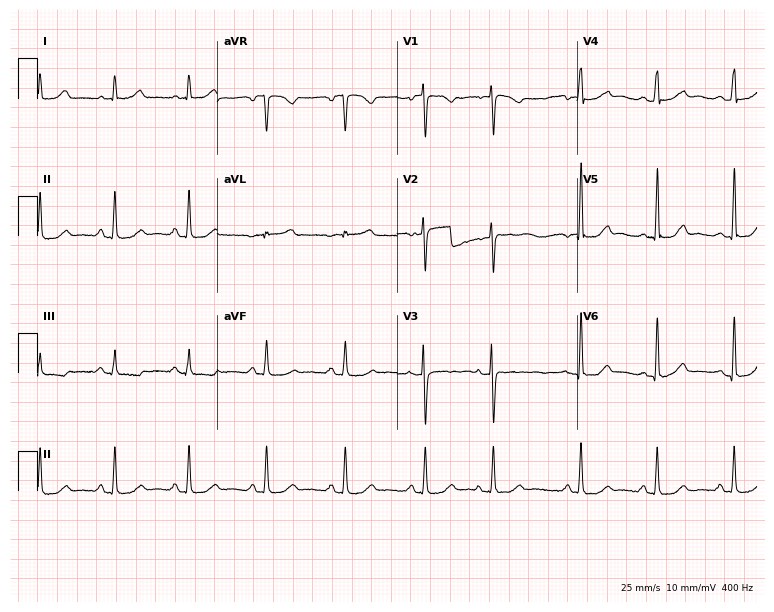
12-lead ECG from a 33-year-old female patient. No first-degree AV block, right bundle branch block (RBBB), left bundle branch block (LBBB), sinus bradycardia, atrial fibrillation (AF) or sinus tachycardia recorded for this tracing.